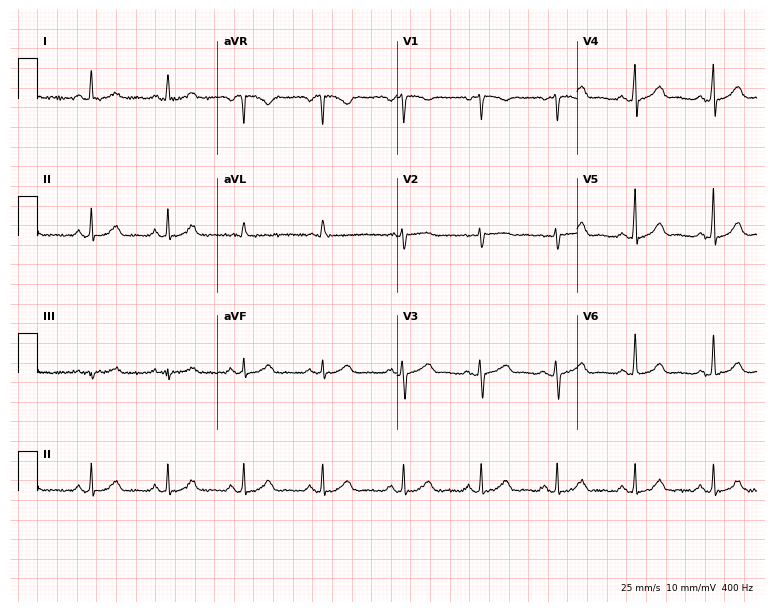
Resting 12-lead electrocardiogram (7.3-second recording at 400 Hz). Patient: a woman, 37 years old. None of these six findings is recorded: first-degree AV block, right bundle branch block, left bundle branch block, sinus bradycardia, atrial fibrillation, sinus tachycardia.